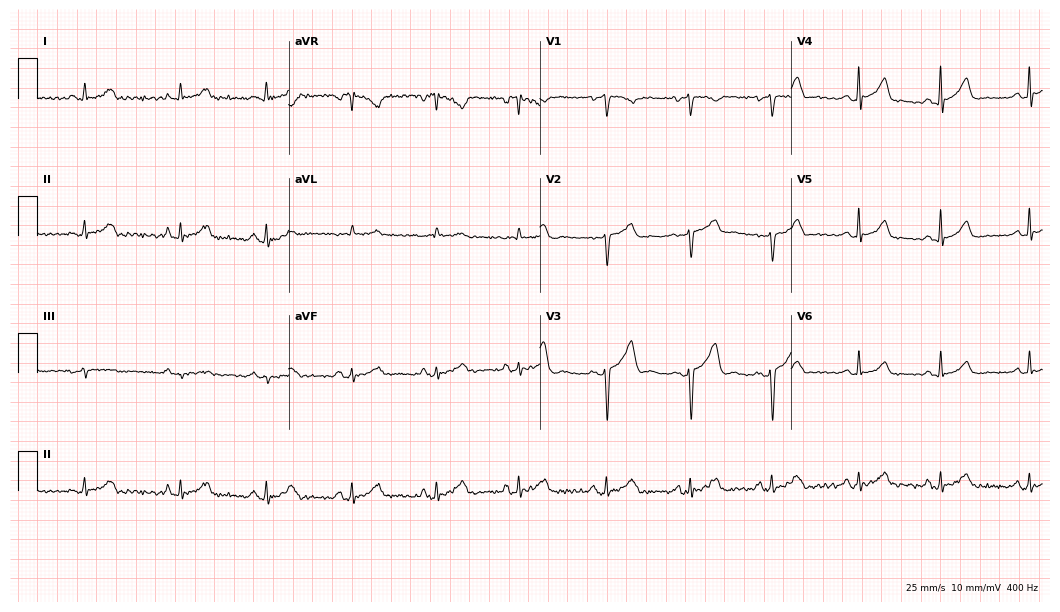
Standard 12-lead ECG recorded from a female patient, 27 years old. Read as a normal ECG.